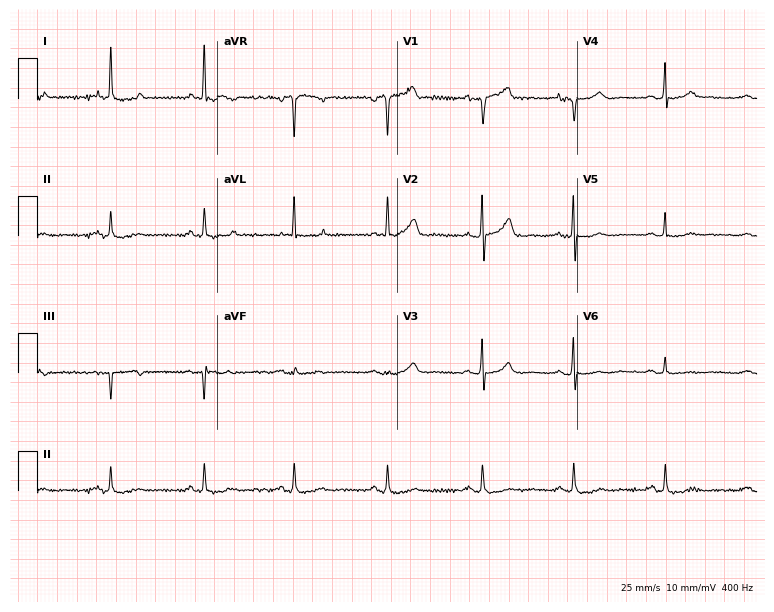
ECG — a 54-year-old woman. Labelled as a normal ECG.